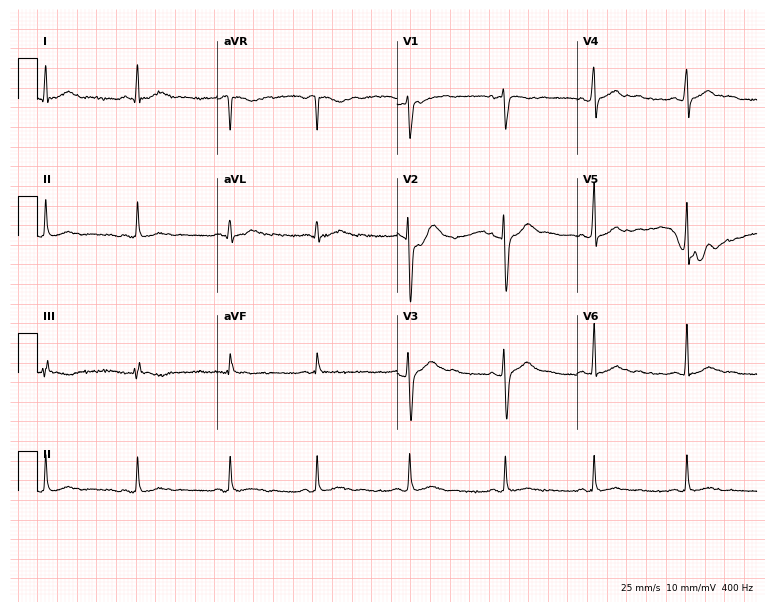
Electrocardiogram (7.3-second recording at 400 Hz), a male patient, 29 years old. Of the six screened findings (first-degree AV block, right bundle branch block, left bundle branch block, sinus bradycardia, atrial fibrillation, sinus tachycardia), none is recorded.